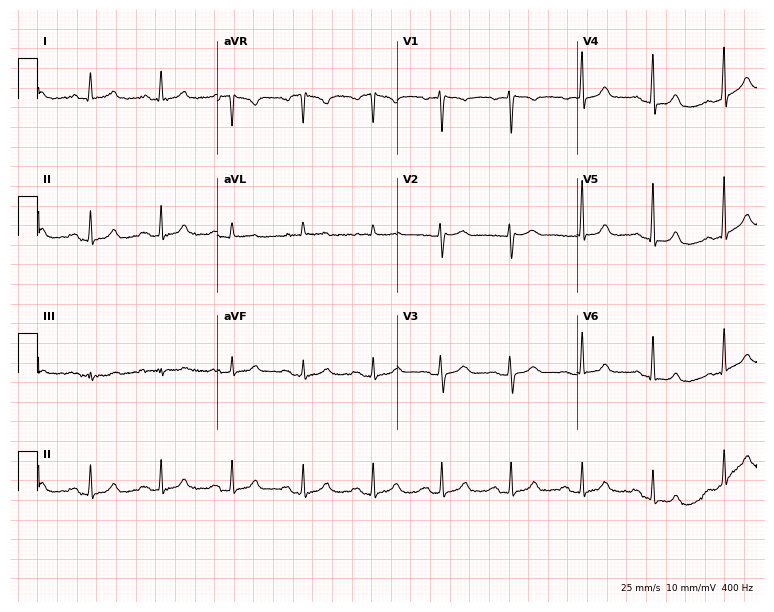
12-lead ECG (7.3-second recording at 400 Hz) from a 48-year-old woman. Labelled as a normal ECG.